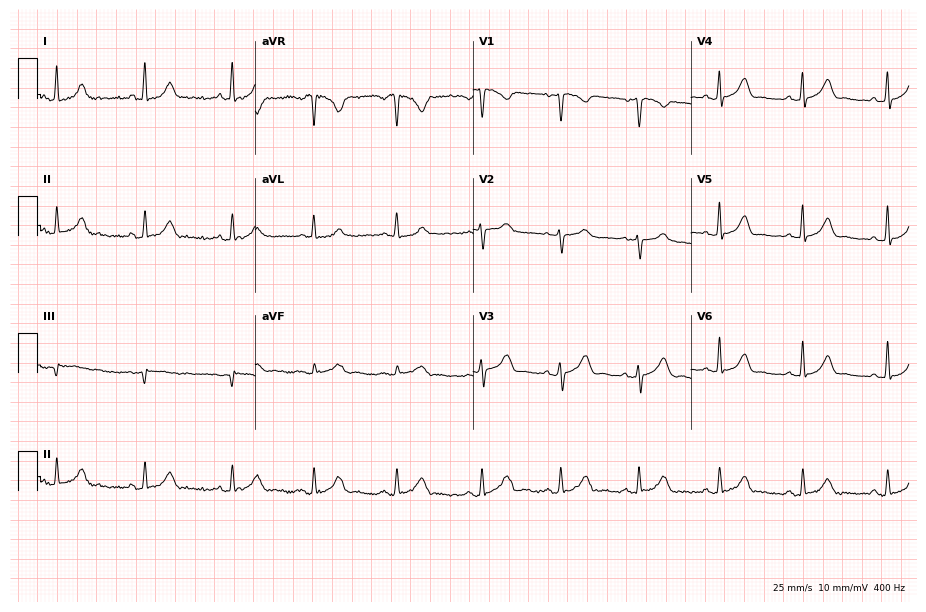
Resting 12-lead electrocardiogram. Patient: a 30-year-old female. Read as a normal ECG.